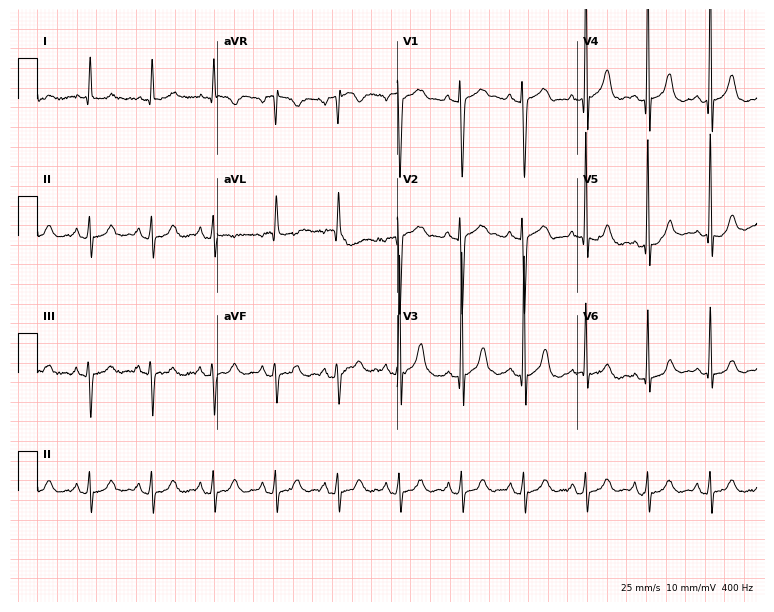
Electrocardiogram (7.3-second recording at 400 Hz), a female, 83 years old. Of the six screened findings (first-degree AV block, right bundle branch block, left bundle branch block, sinus bradycardia, atrial fibrillation, sinus tachycardia), none is recorded. Other findings, if any, are not listed.